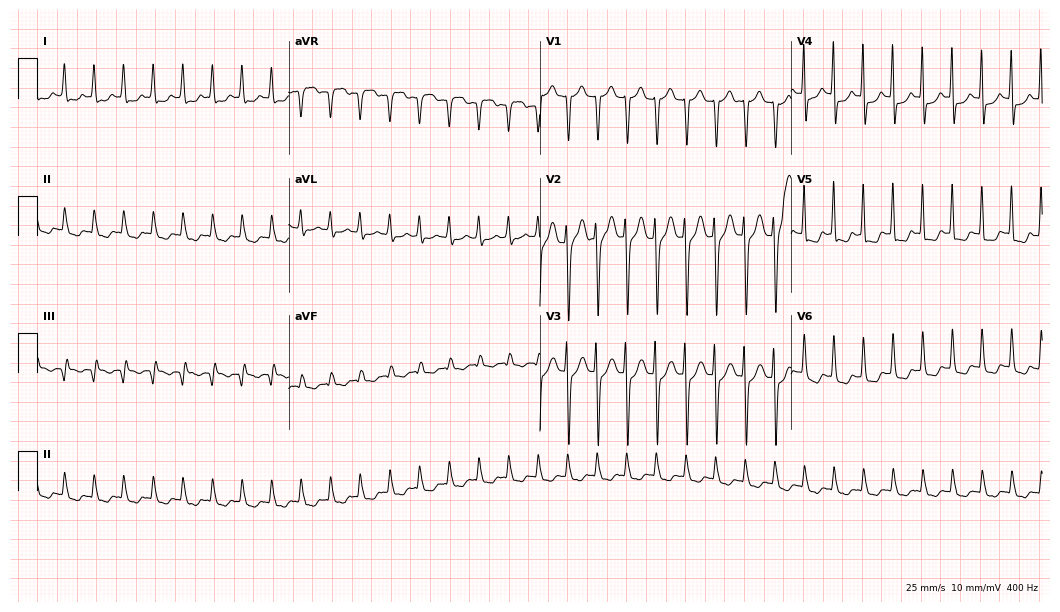
Electrocardiogram, a 73-year-old male. Of the six screened findings (first-degree AV block, right bundle branch block, left bundle branch block, sinus bradycardia, atrial fibrillation, sinus tachycardia), none is recorded.